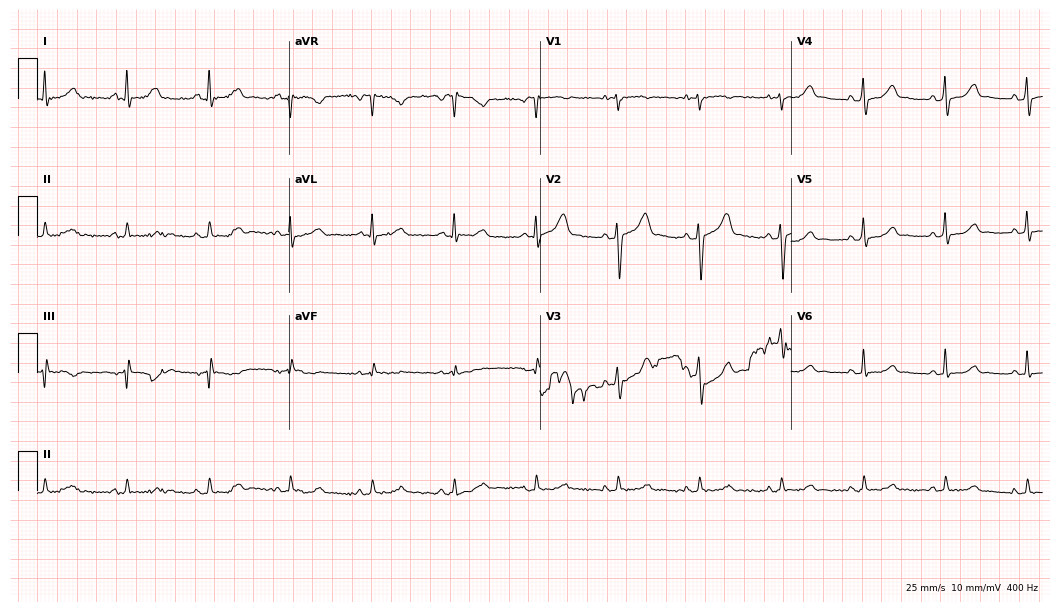
Resting 12-lead electrocardiogram (10.2-second recording at 400 Hz). Patient: a 57-year-old man. Read as a normal ECG.